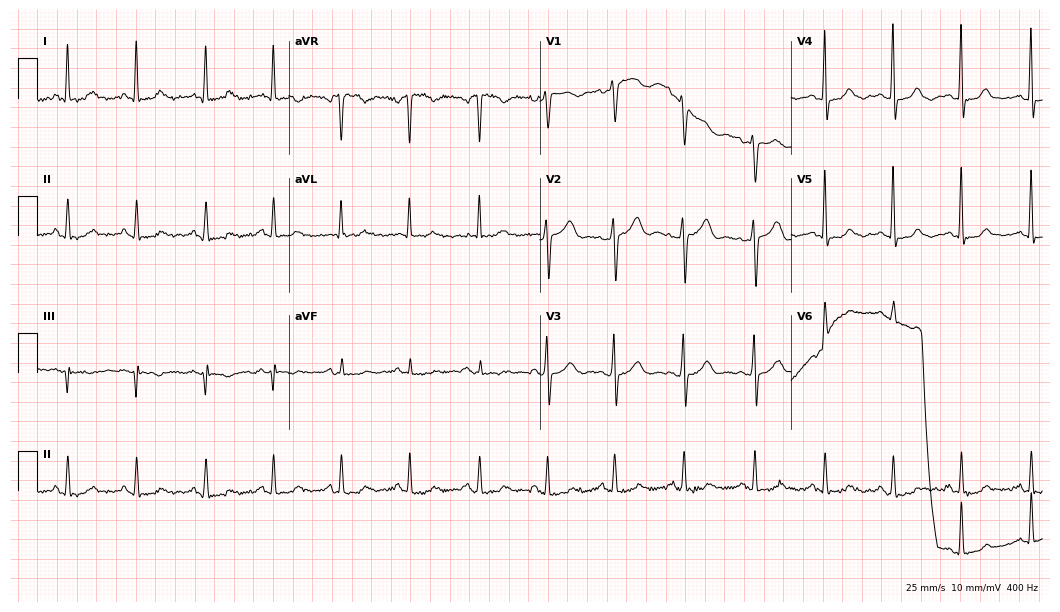
Standard 12-lead ECG recorded from a 48-year-old female patient. Read as a normal ECG.